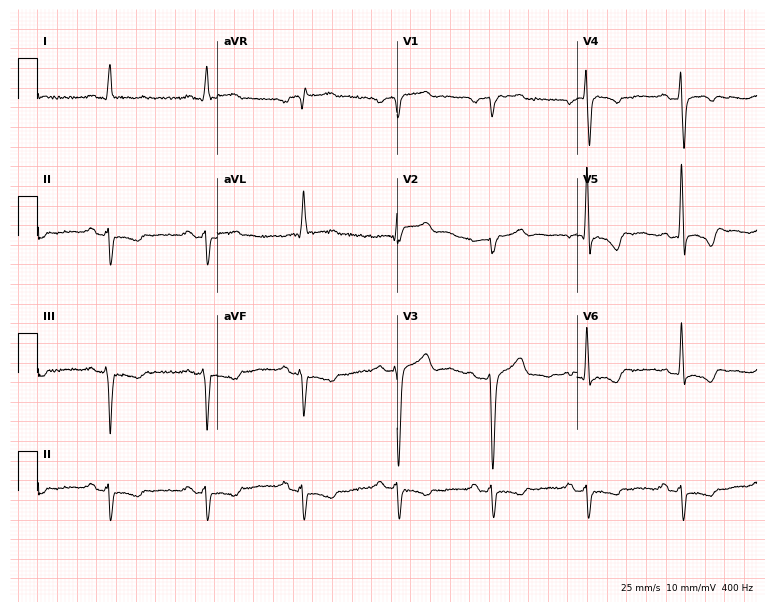
Standard 12-lead ECG recorded from a man, 64 years old. None of these six findings is recorded: first-degree AV block, right bundle branch block, left bundle branch block, sinus bradycardia, atrial fibrillation, sinus tachycardia.